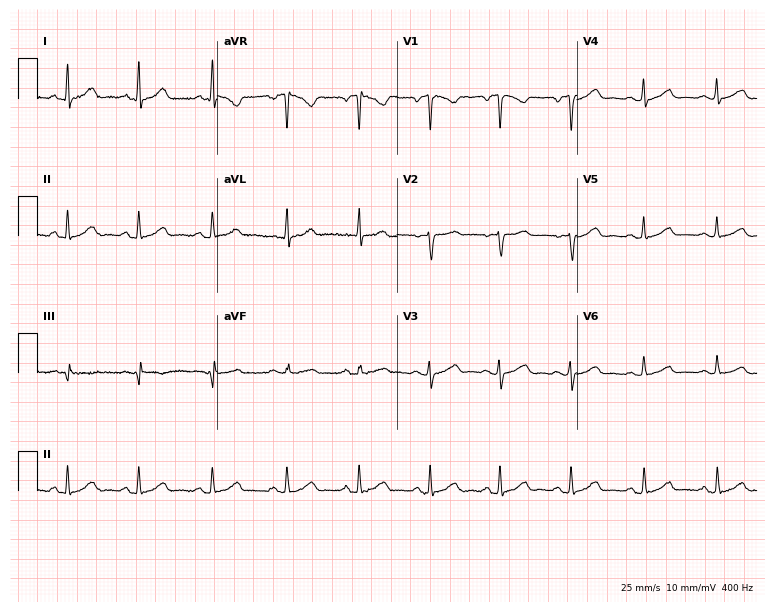
Standard 12-lead ECG recorded from a female patient, 34 years old (7.3-second recording at 400 Hz). Read as a normal ECG.